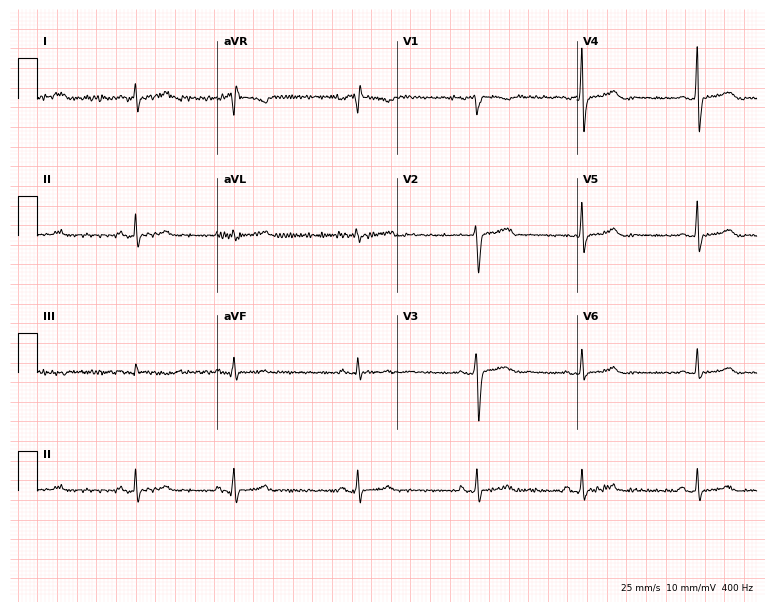
Resting 12-lead electrocardiogram. Patient: a 34-year-old female. None of these six findings is recorded: first-degree AV block, right bundle branch block, left bundle branch block, sinus bradycardia, atrial fibrillation, sinus tachycardia.